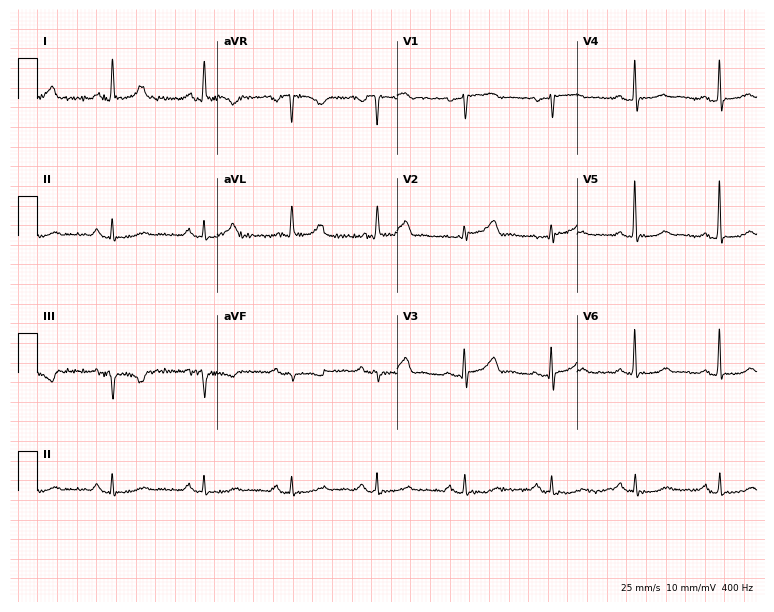
Standard 12-lead ECG recorded from a female patient, 56 years old (7.3-second recording at 400 Hz). None of these six findings is recorded: first-degree AV block, right bundle branch block (RBBB), left bundle branch block (LBBB), sinus bradycardia, atrial fibrillation (AF), sinus tachycardia.